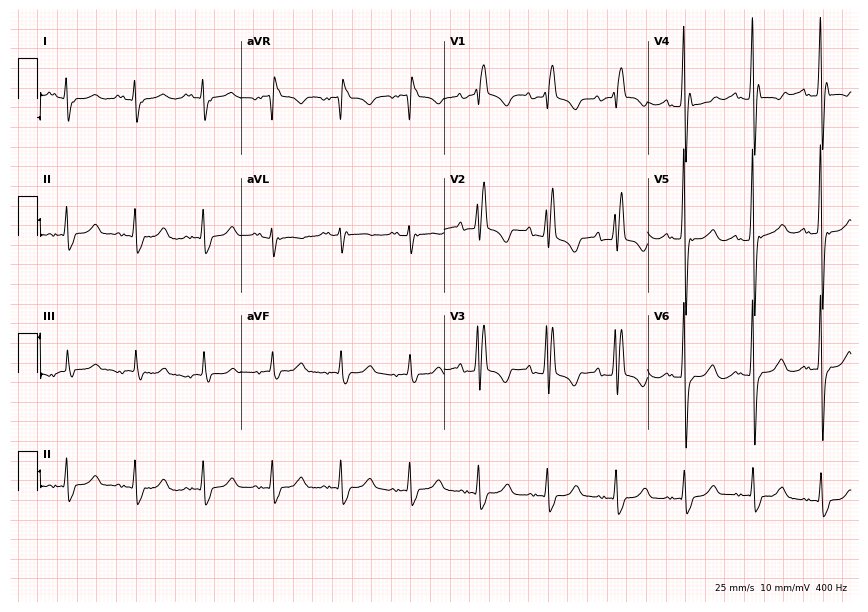
Resting 12-lead electrocardiogram (8.3-second recording at 400 Hz). Patient: a female, 41 years old. The tracing shows right bundle branch block.